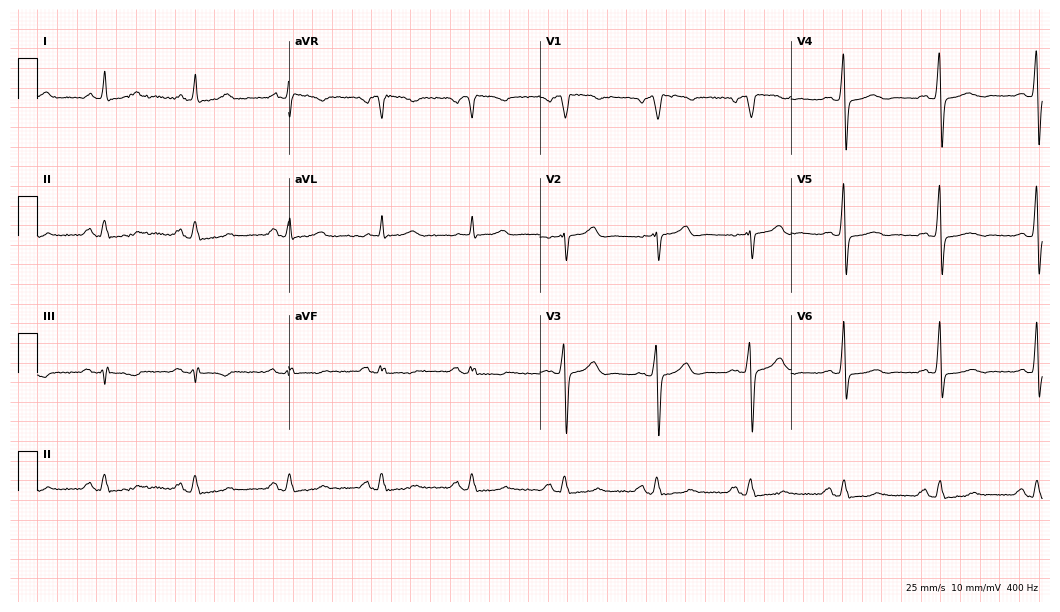
ECG (10.2-second recording at 400 Hz) — a male patient, 51 years old. Screened for six findings — first-degree AV block, right bundle branch block, left bundle branch block, sinus bradycardia, atrial fibrillation, sinus tachycardia — none is recorded. Findings outside these six are not listed.